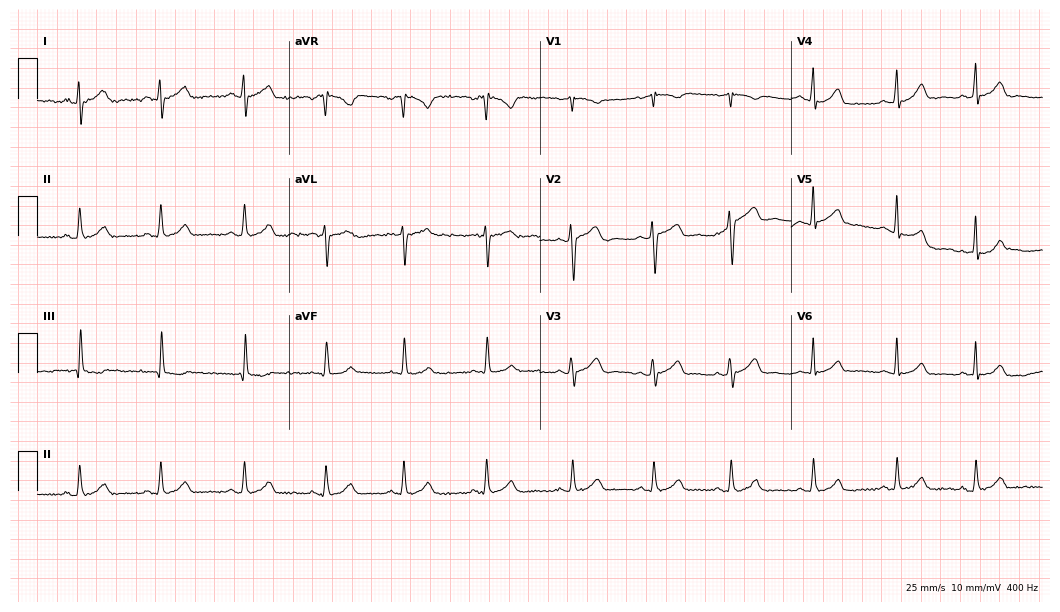
Standard 12-lead ECG recorded from a woman, 32 years old (10.2-second recording at 400 Hz). Read as a normal ECG.